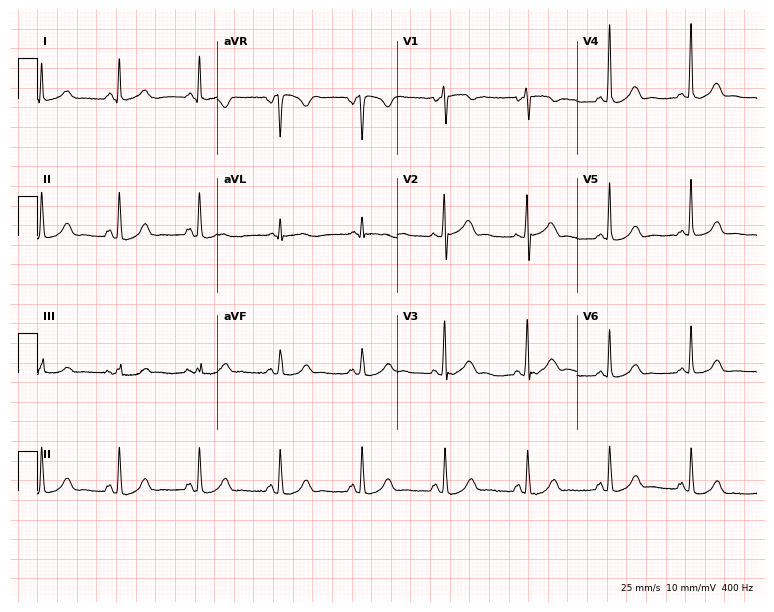
Electrocardiogram, a 52-year-old woman. Overall reading on record: normal ECG.